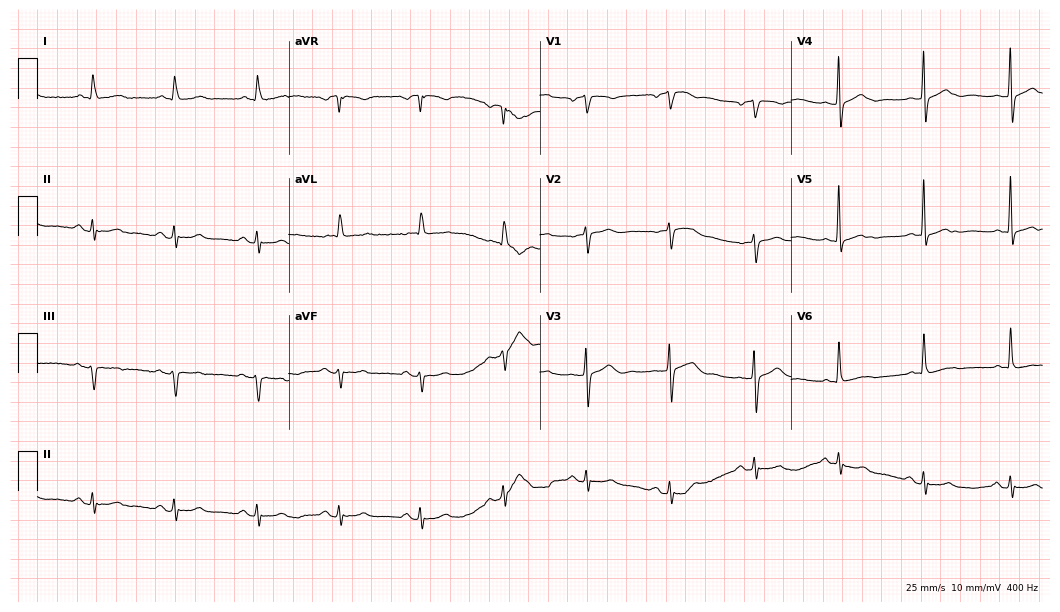
Standard 12-lead ECG recorded from a female, 73 years old (10.2-second recording at 400 Hz). None of these six findings is recorded: first-degree AV block, right bundle branch block, left bundle branch block, sinus bradycardia, atrial fibrillation, sinus tachycardia. Findings outside these six are not listed.